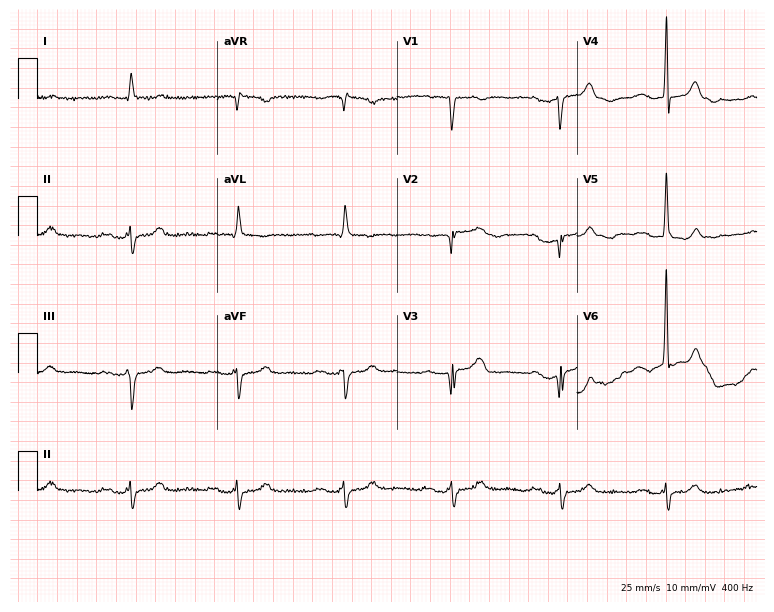
Standard 12-lead ECG recorded from a male, 80 years old. None of these six findings is recorded: first-degree AV block, right bundle branch block, left bundle branch block, sinus bradycardia, atrial fibrillation, sinus tachycardia. Findings outside these six are not listed.